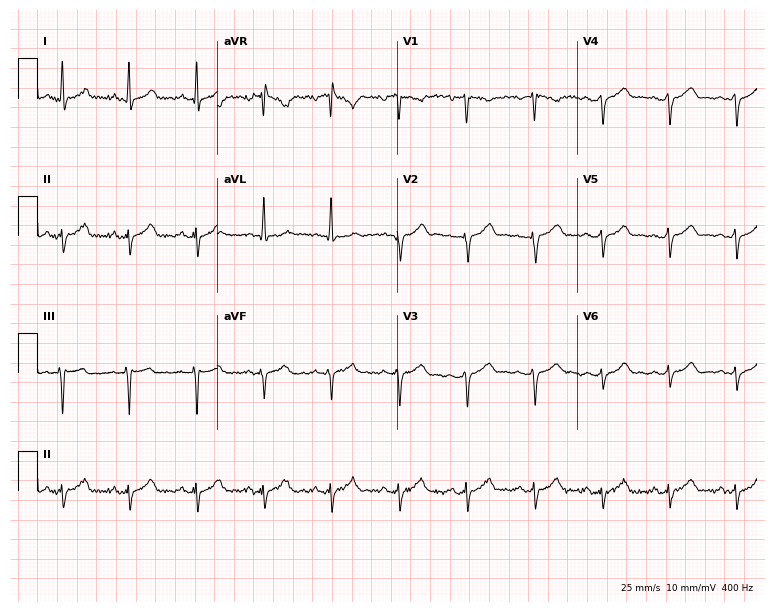
Standard 12-lead ECG recorded from a 27-year-old male. None of these six findings is recorded: first-degree AV block, right bundle branch block, left bundle branch block, sinus bradycardia, atrial fibrillation, sinus tachycardia.